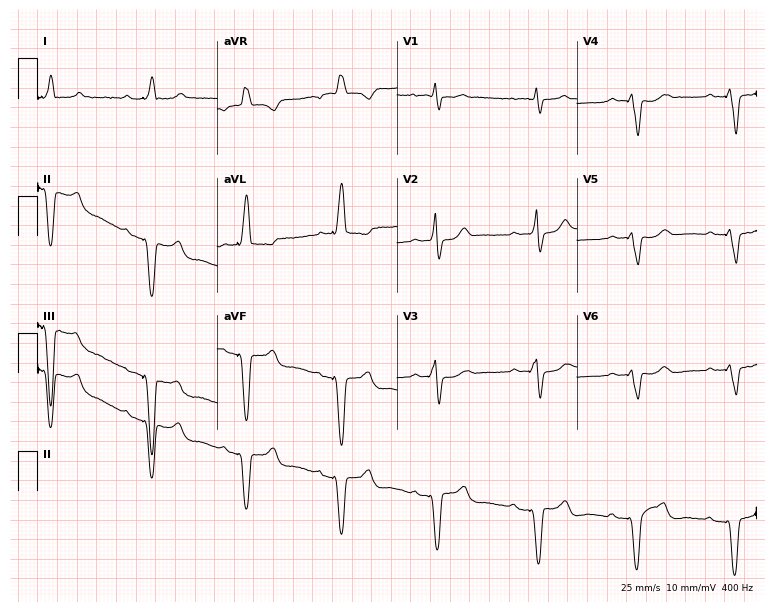
Electrocardiogram, a female, 67 years old. Of the six screened findings (first-degree AV block, right bundle branch block, left bundle branch block, sinus bradycardia, atrial fibrillation, sinus tachycardia), none is recorded. Only these six findings were labelled.